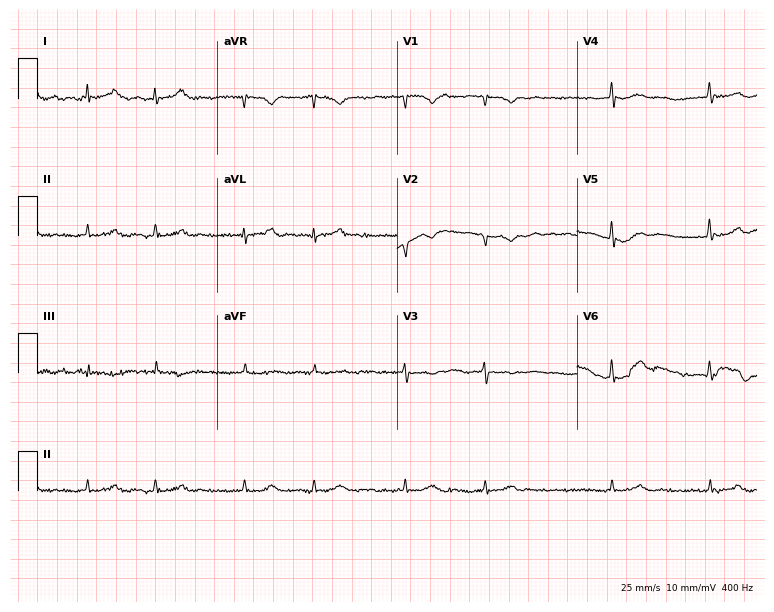
Resting 12-lead electrocardiogram. Patient: a female, 74 years old. The tracing shows atrial fibrillation.